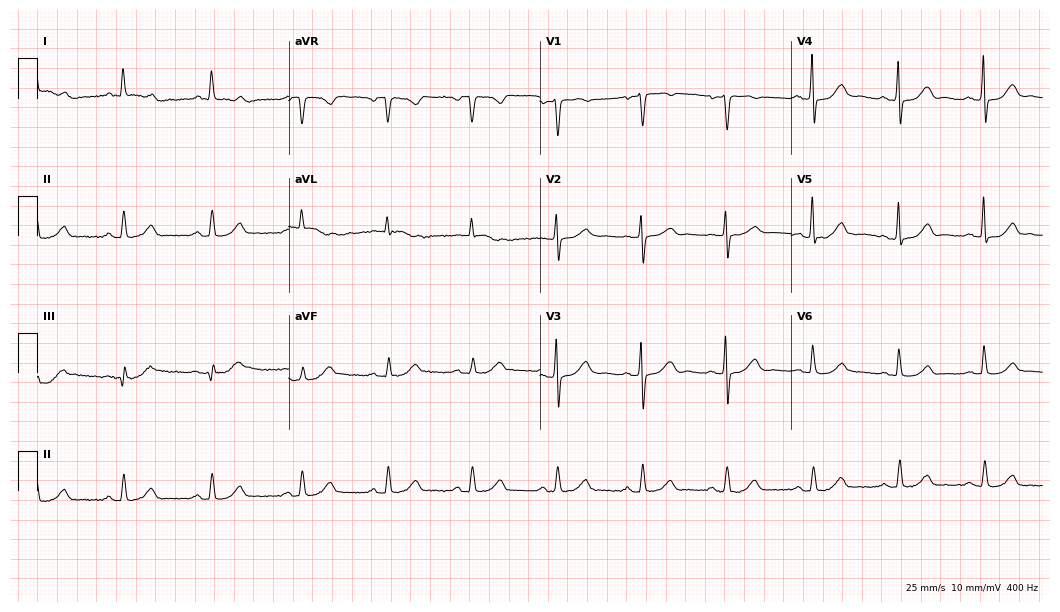
12-lead ECG from a female, 72 years old. No first-degree AV block, right bundle branch block (RBBB), left bundle branch block (LBBB), sinus bradycardia, atrial fibrillation (AF) or sinus tachycardia recorded for this tracing.